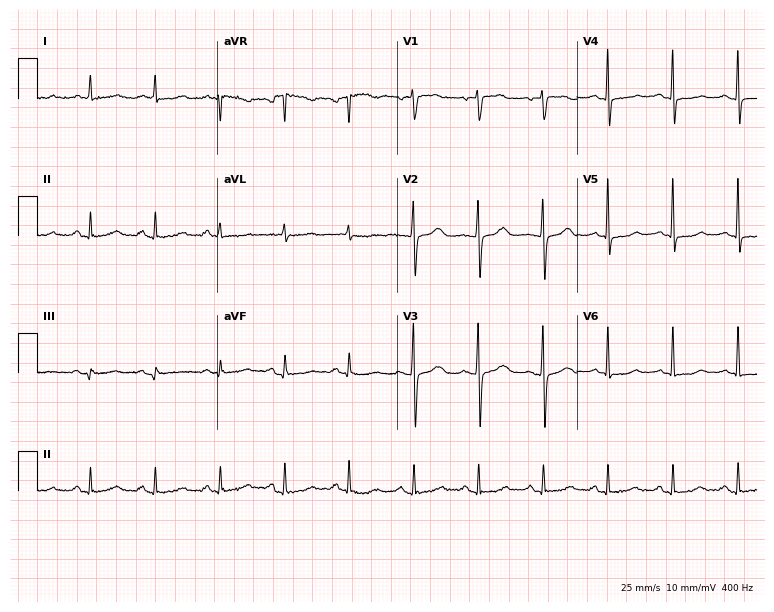
ECG (7.3-second recording at 400 Hz) — a female, 65 years old. Screened for six findings — first-degree AV block, right bundle branch block, left bundle branch block, sinus bradycardia, atrial fibrillation, sinus tachycardia — none is recorded. Only these six findings were labelled.